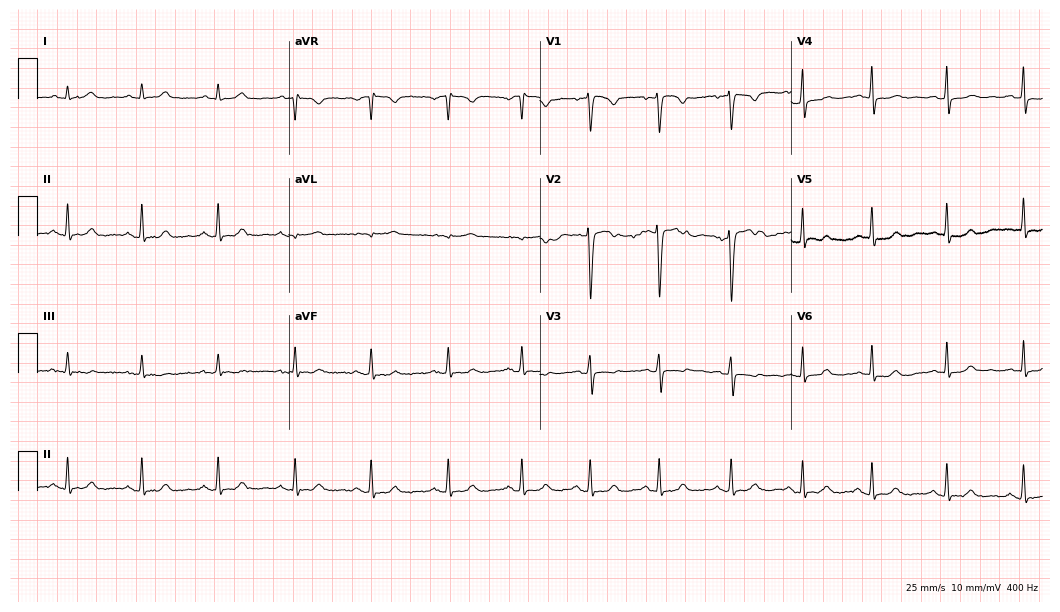
Resting 12-lead electrocardiogram. Patient: a 37-year-old female. None of these six findings is recorded: first-degree AV block, right bundle branch block (RBBB), left bundle branch block (LBBB), sinus bradycardia, atrial fibrillation (AF), sinus tachycardia. Only these six findings were labelled.